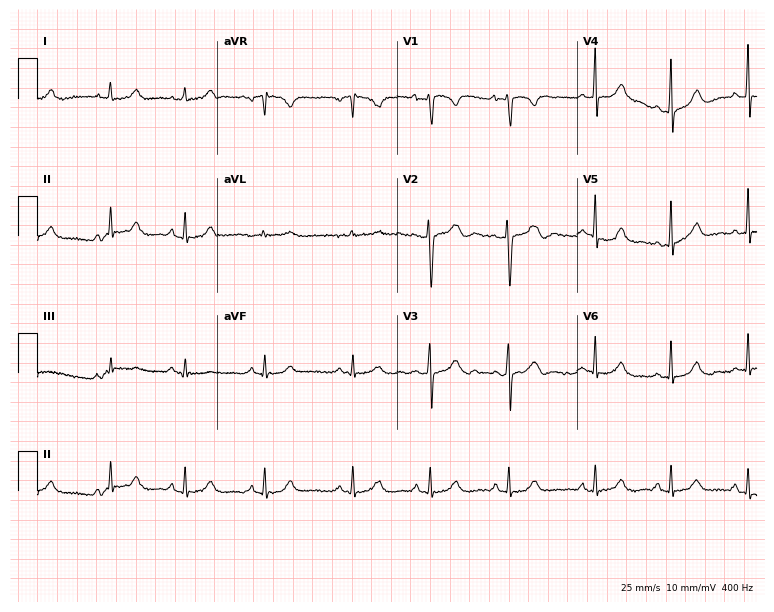
12-lead ECG from a 29-year-old woman. Screened for six findings — first-degree AV block, right bundle branch block, left bundle branch block, sinus bradycardia, atrial fibrillation, sinus tachycardia — none is recorded. Other findings, if any, are not listed.